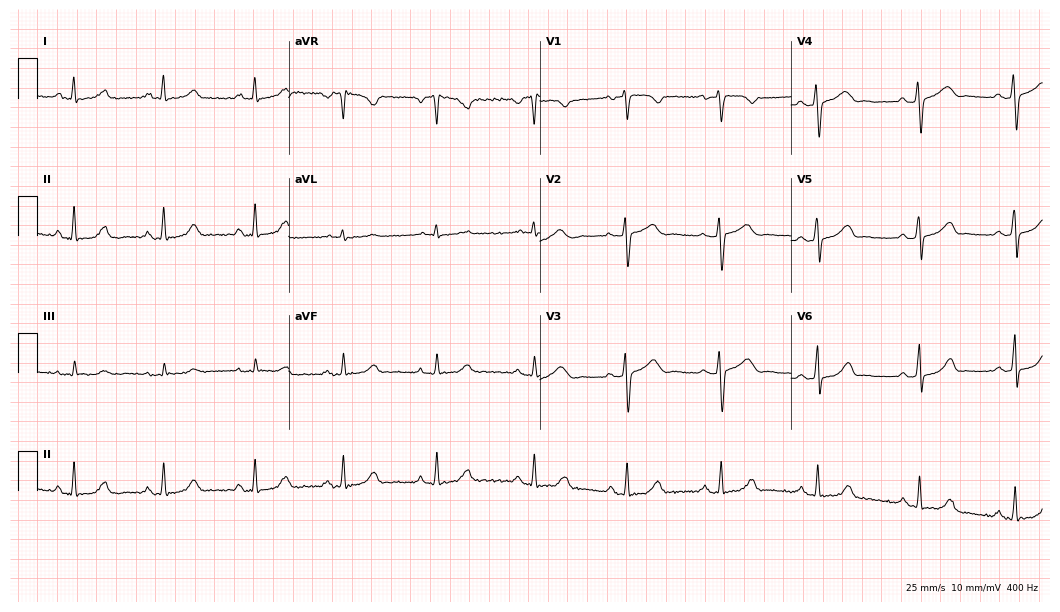
Standard 12-lead ECG recorded from a 44-year-old female patient (10.2-second recording at 400 Hz). Read as a normal ECG.